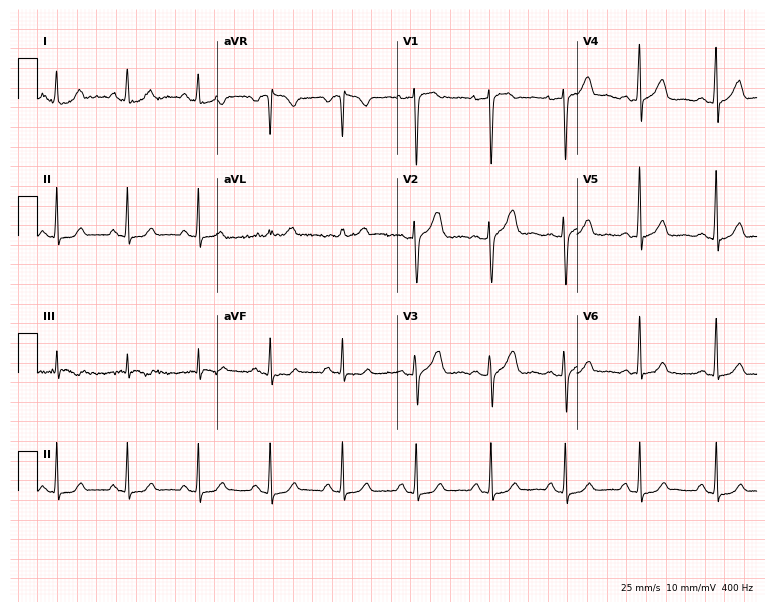
12-lead ECG (7.3-second recording at 400 Hz) from a 47-year-old woman. Screened for six findings — first-degree AV block, right bundle branch block, left bundle branch block, sinus bradycardia, atrial fibrillation, sinus tachycardia — none is recorded. Other findings, if any, are not listed.